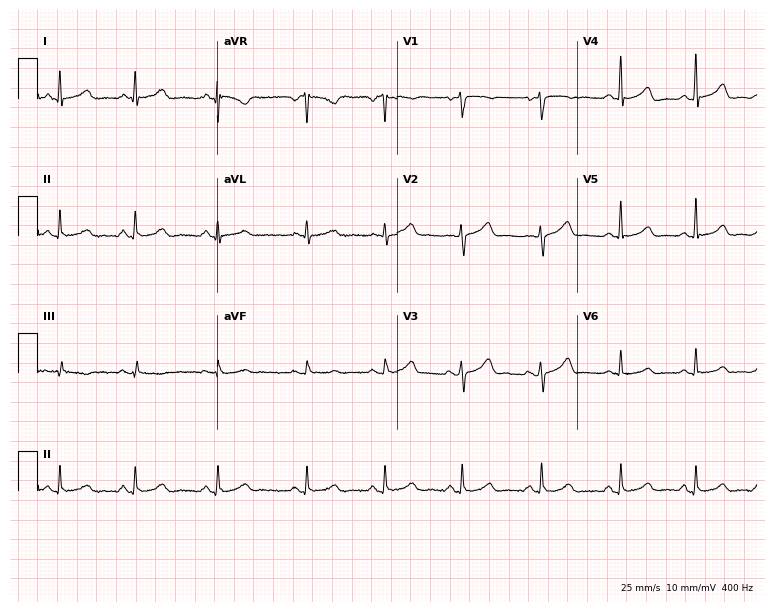
Standard 12-lead ECG recorded from a female, 41 years old. Read as a normal ECG.